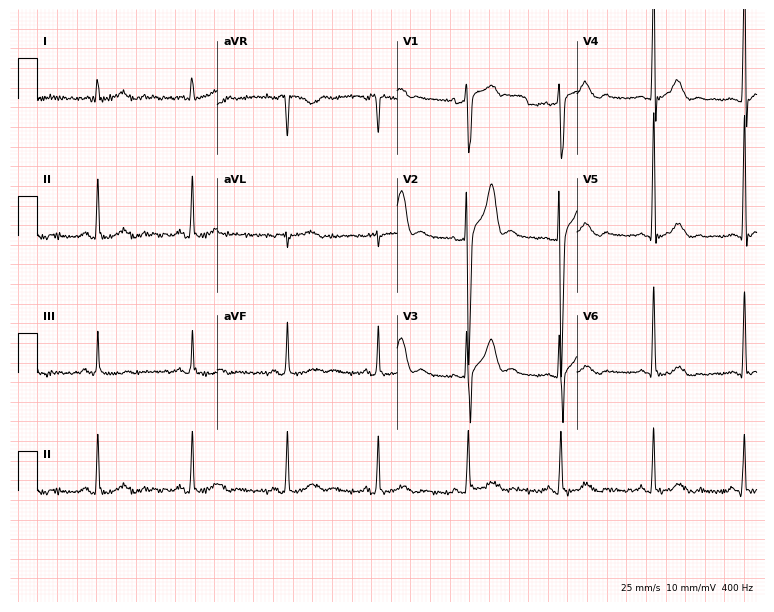
12-lead ECG from a male patient, 47 years old. Screened for six findings — first-degree AV block, right bundle branch block, left bundle branch block, sinus bradycardia, atrial fibrillation, sinus tachycardia — none is recorded.